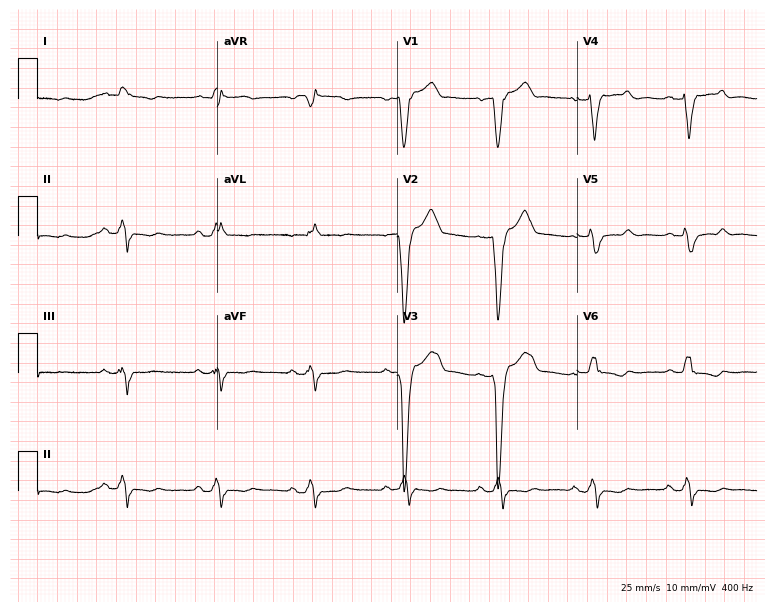
12-lead ECG from a man, 52 years old. Findings include left bundle branch block (LBBB).